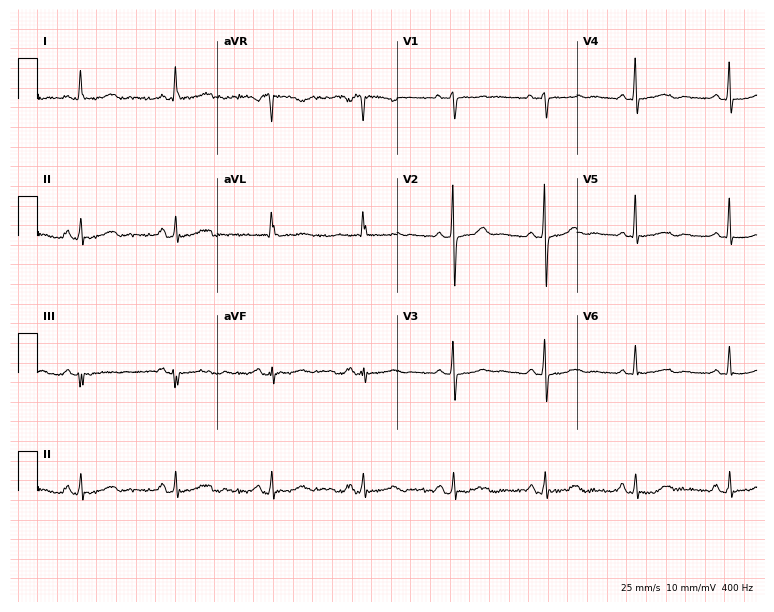
12-lead ECG from a 72-year-old female patient. Recorded interpretation: within normal limits.